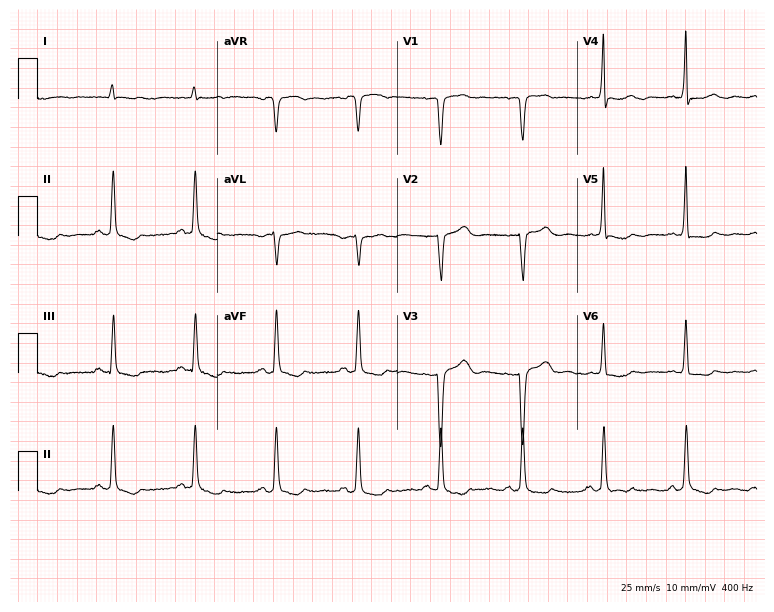
Resting 12-lead electrocardiogram (7.3-second recording at 400 Hz). Patient: a female, 75 years old. None of these six findings is recorded: first-degree AV block, right bundle branch block, left bundle branch block, sinus bradycardia, atrial fibrillation, sinus tachycardia. Findings outside these six are not listed.